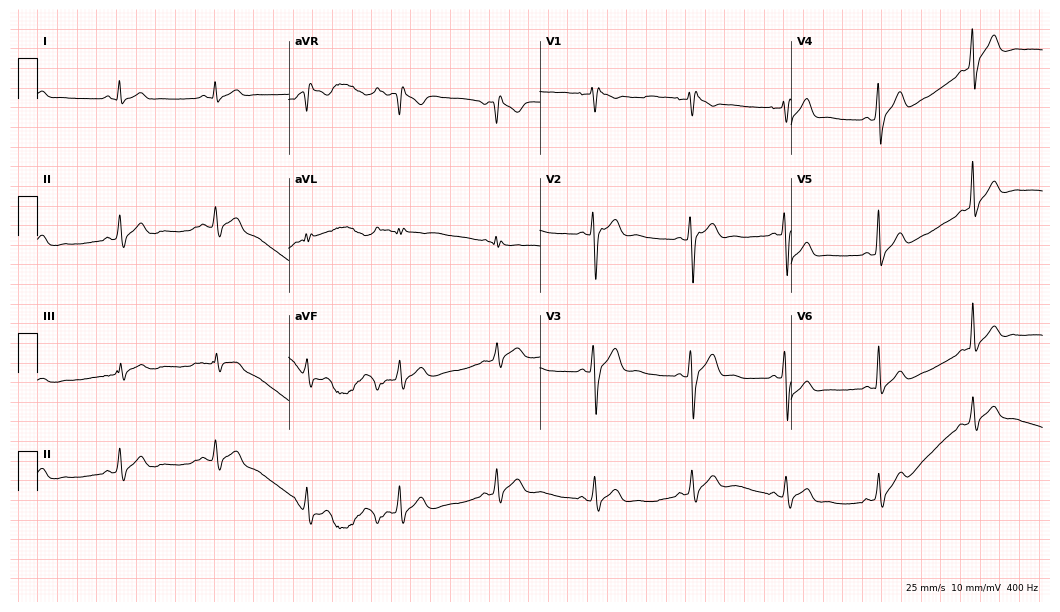
Electrocardiogram (10.2-second recording at 400 Hz), a male, 31 years old. Interpretation includes right bundle branch block.